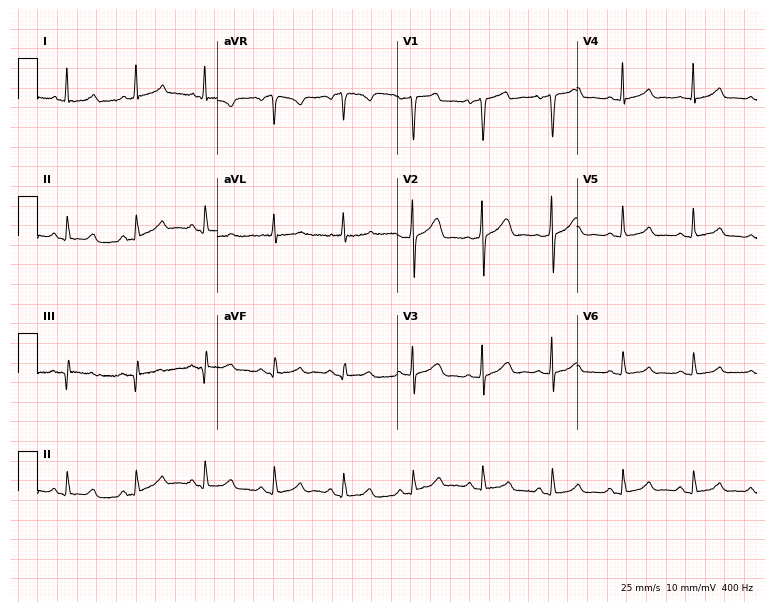
Standard 12-lead ECG recorded from a 66-year-old female. Read as a normal ECG.